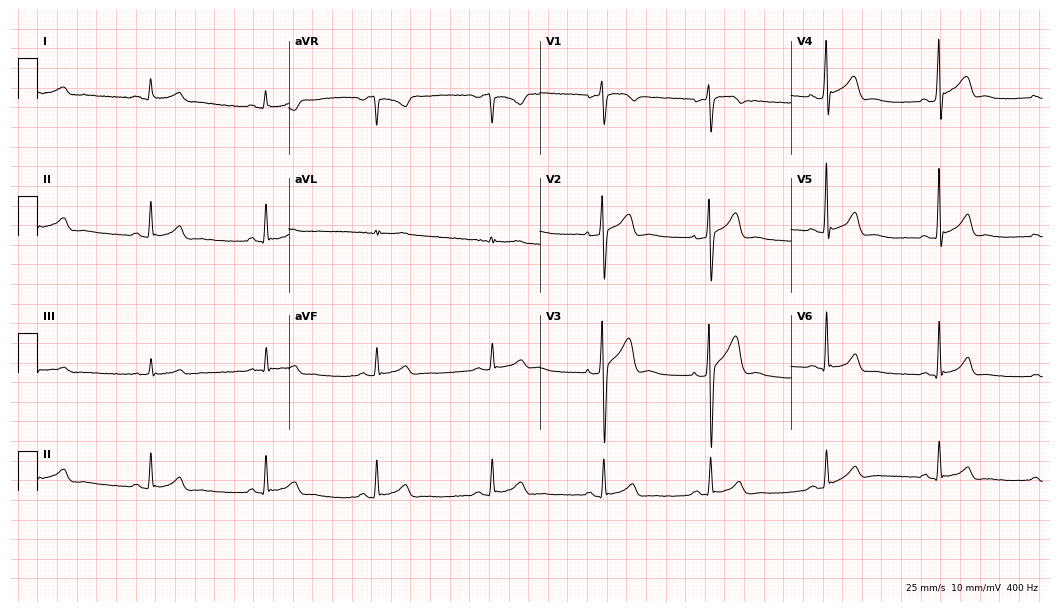
ECG (10.2-second recording at 400 Hz) — a man, 30 years old. Labelled as a normal ECG.